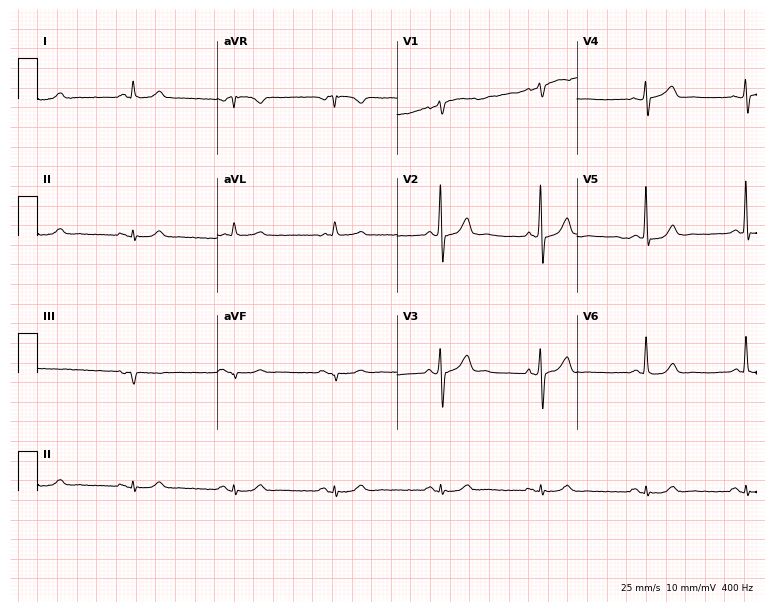
Electrocardiogram, a 72-year-old man. Of the six screened findings (first-degree AV block, right bundle branch block, left bundle branch block, sinus bradycardia, atrial fibrillation, sinus tachycardia), none is recorded.